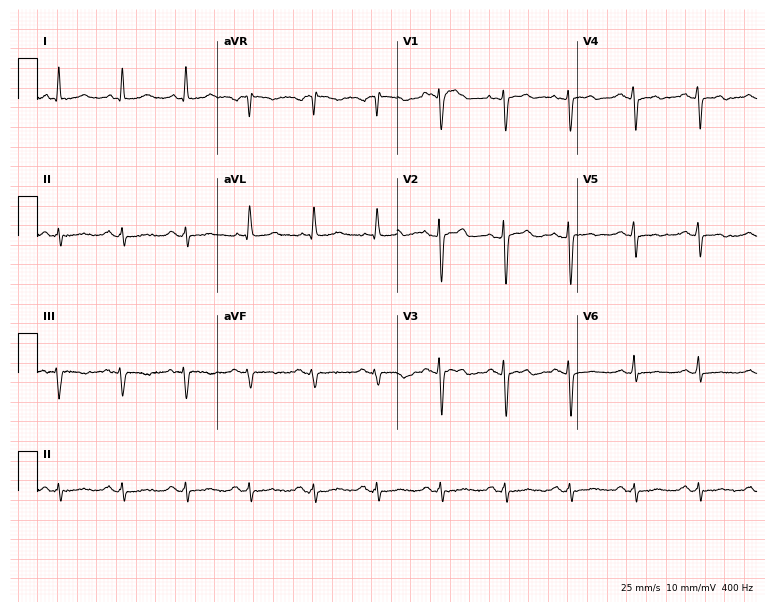
Resting 12-lead electrocardiogram (7.3-second recording at 400 Hz). Patient: a female, 66 years old. None of these six findings is recorded: first-degree AV block, right bundle branch block, left bundle branch block, sinus bradycardia, atrial fibrillation, sinus tachycardia.